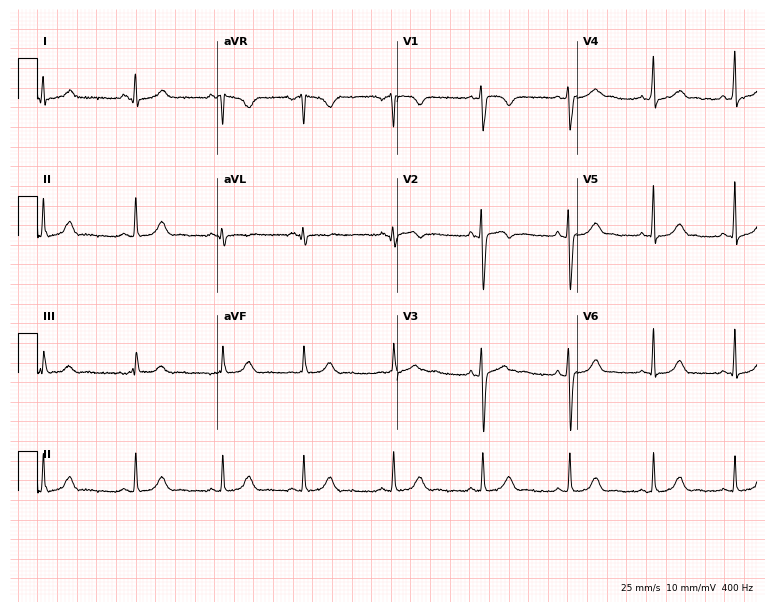
12-lead ECG from a 21-year-old female (7.3-second recording at 400 Hz). Recorded interpretation: within normal limits.